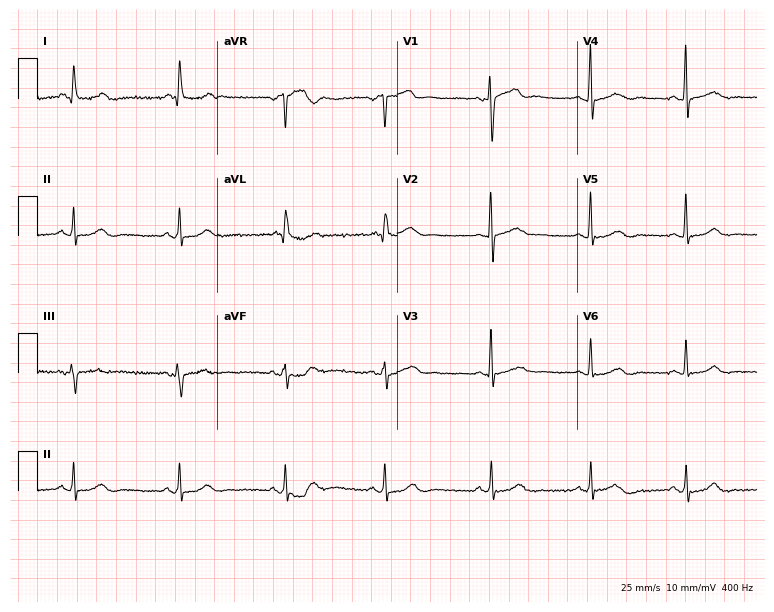
ECG (7.3-second recording at 400 Hz) — a 60-year-old female patient. Screened for six findings — first-degree AV block, right bundle branch block, left bundle branch block, sinus bradycardia, atrial fibrillation, sinus tachycardia — none is recorded.